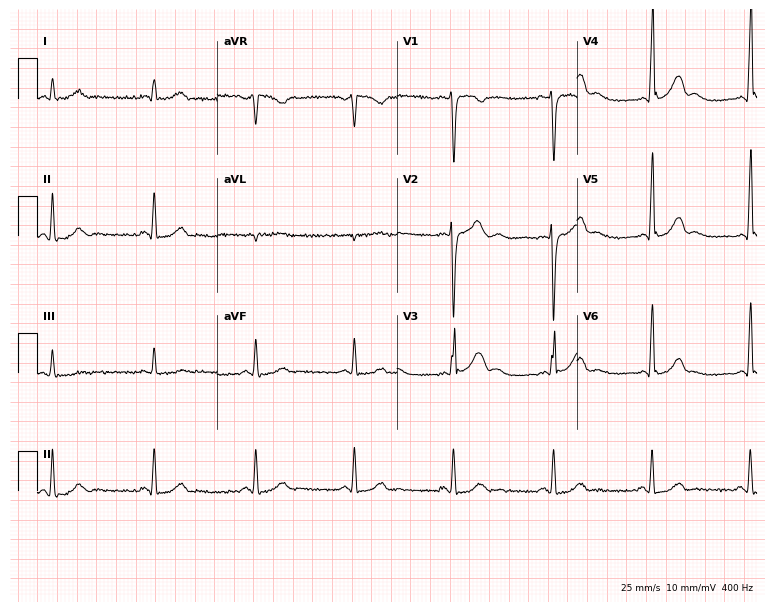
Resting 12-lead electrocardiogram (7.3-second recording at 400 Hz). Patient: a 38-year-old male. None of these six findings is recorded: first-degree AV block, right bundle branch block (RBBB), left bundle branch block (LBBB), sinus bradycardia, atrial fibrillation (AF), sinus tachycardia.